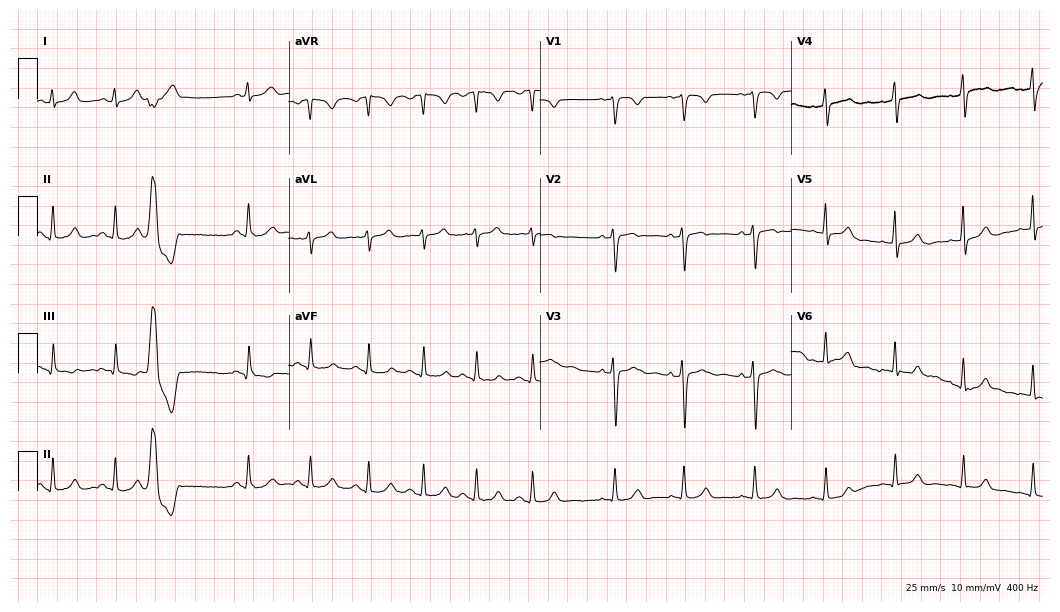
Resting 12-lead electrocardiogram (10.2-second recording at 400 Hz). Patient: a 34-year-old female. None of these six findings is recorded: first-degree AV block, right bundle branch block, left bundle branch block, sinus bradycardia, atrial fibrillation, sinus tachycardia.